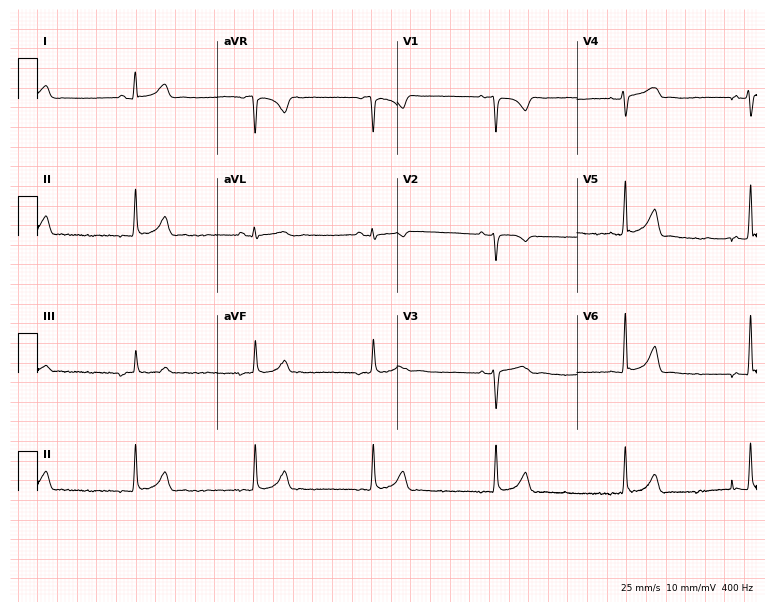
12-lead ECG from a female patient, 21 years old. No first-degree AV block, right bundle branch block (RBBB), left bundle branch block (LBBB), sinus bradycardia, atrial fibrillation (AF) or sinus tachycardia recorded for this tracing. Only these six findings were labelled.